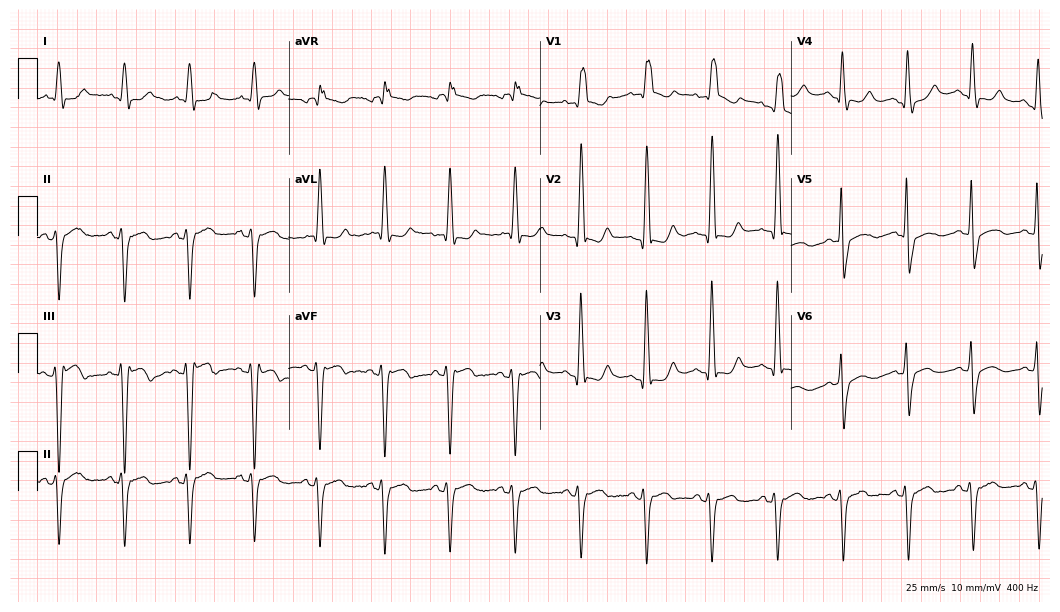
12-lead ECG (10.2-second recording at 400 Hz) from an 82-year-old woman. Findings include right bundle branch block.